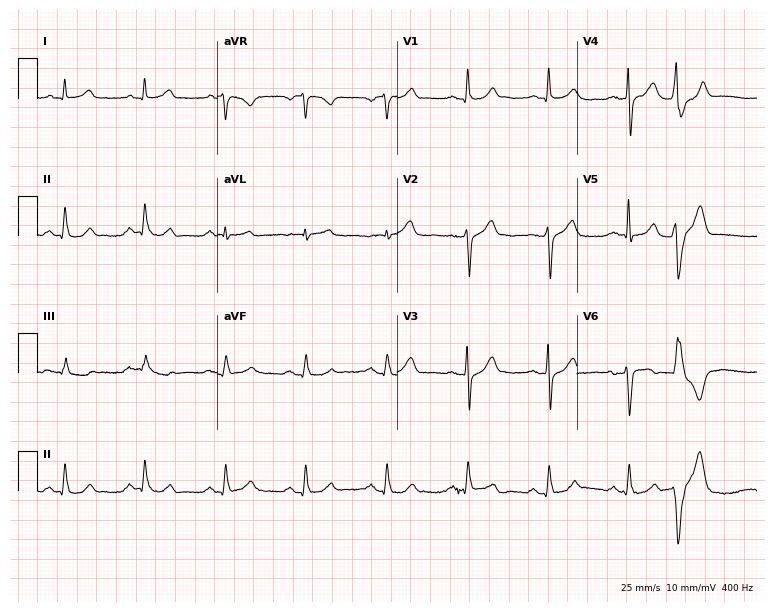
Standard 12-lead ECG recorded from a man, 56 years old. None of these six findings is recorded: first-degree AV block, right bundle branch block, left bundle branch block, sinus bradycardia, atrial fibrillation, sinus tachycardia.